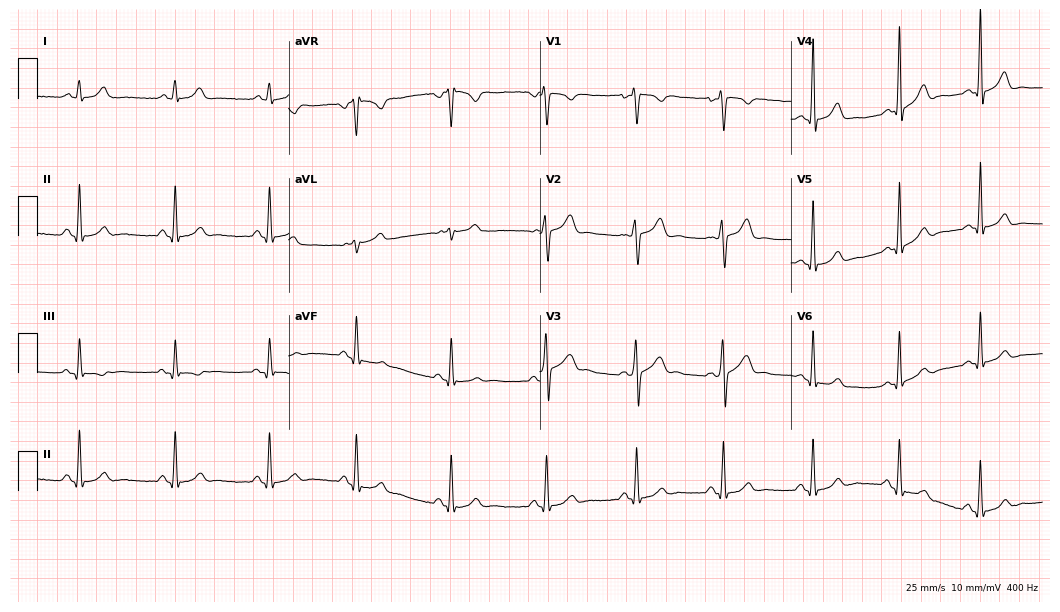
12-lead ECG from a man, 24 years old. Recorded interpretation: within normal limits.